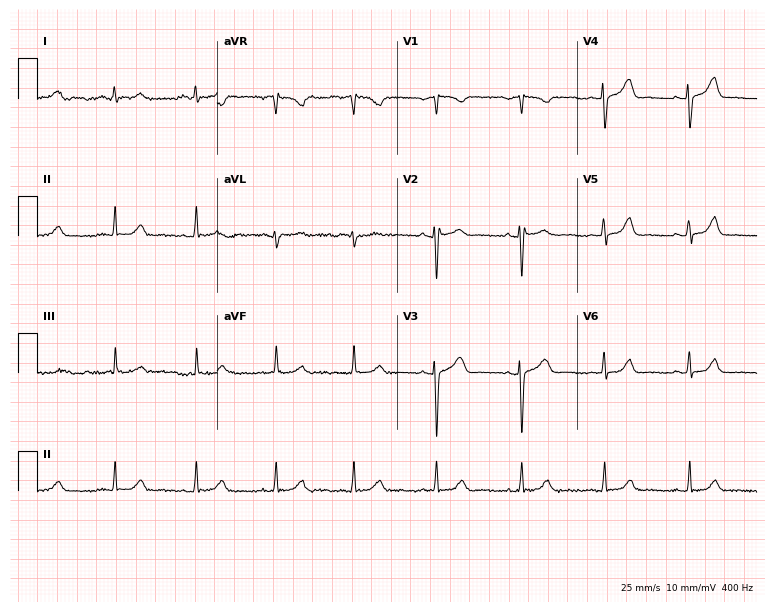
Resting 12-lead electrocardiogram (7.3-second recording at 400 Hz). Patient: a 38-year-old female. None of these six findings is recorded: first-degree AV block, right bundle branch block, left bundle branch block, sinus bradycardia, atrial fibrillation, sinus tachycardia. Findings outside these six are not listed.